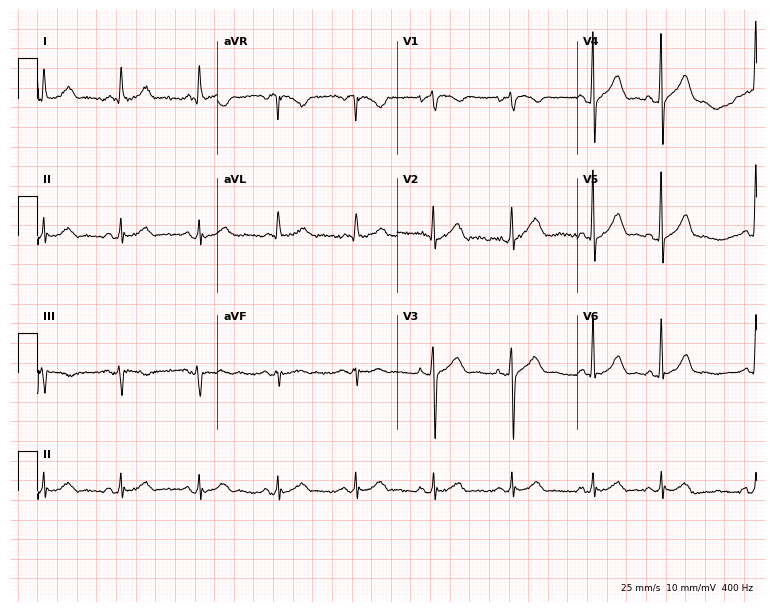
12-lead ECG from a 74-year-old man. Labelled as a normal ECG.